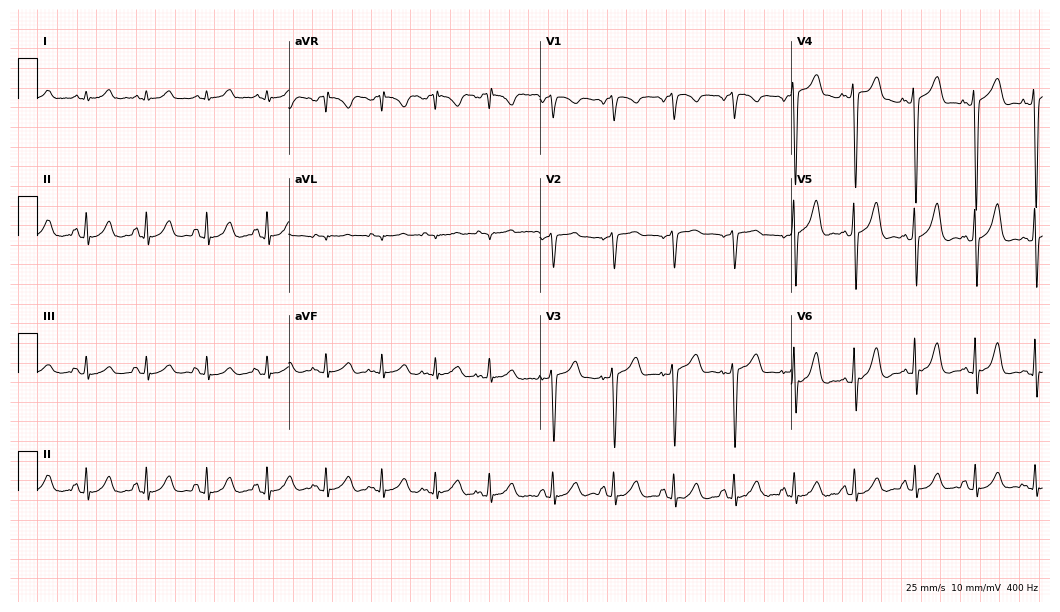
ECG (10.2-second recording at 400 Hz) — a 58-year-old woman. Screened for six findings — first-degree AV block, right bundle branch block, left bundle branch block, sinus bradycardia, atrial fibrillation, sinus tachycardia — none is recorded. Only these six findings were labelled.